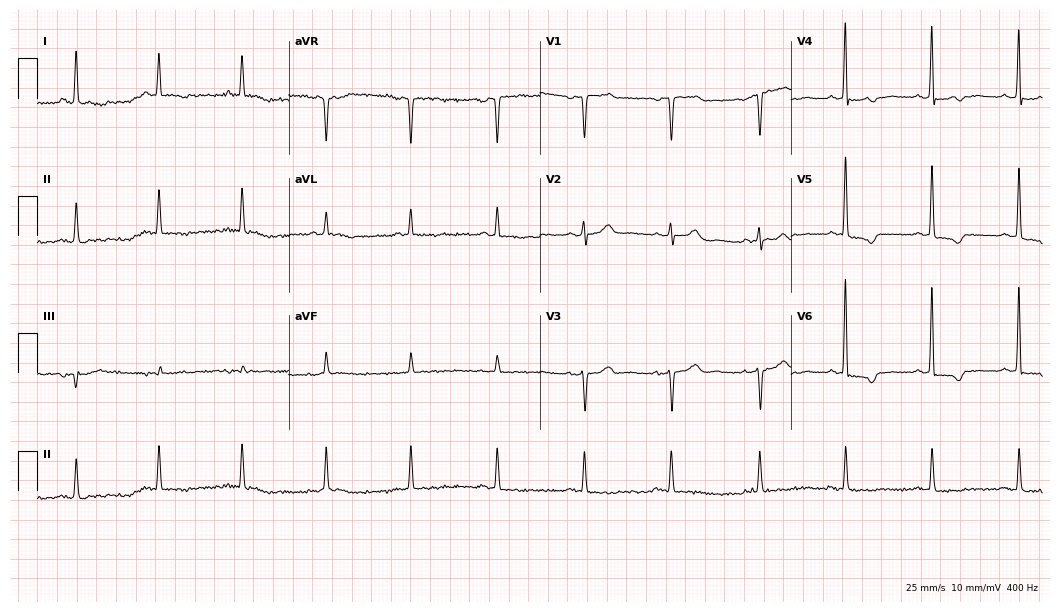
12-lead ECG (10.2-second recording at 400 Hz) from a 58-year-old woman. Screened for six findings — first-degree AV block, right bundle branch block, left bundle branch block, sinus bradycardia, atrial fibrillation, sinus tachycardia — none is recorded.